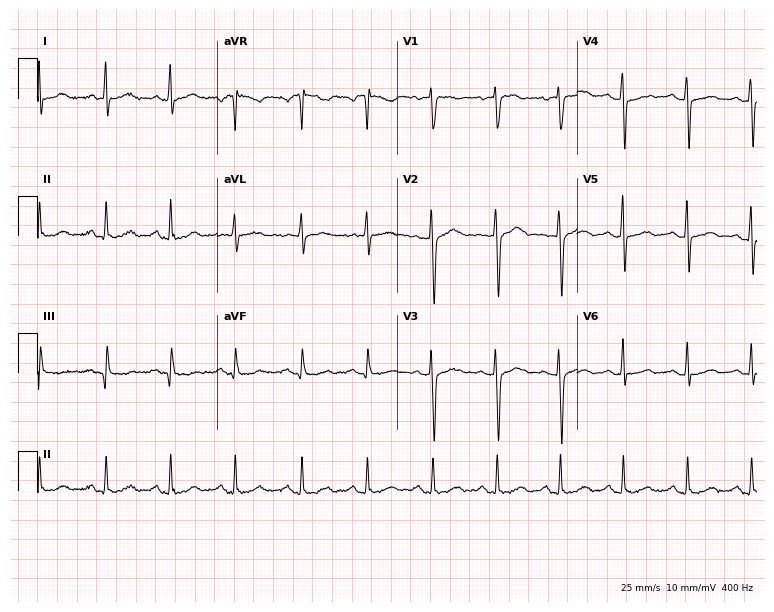
12-lead ECG (7.3-second recording at 400 Hz) from a woman, 57 years old. Labelled as a normal ECG.